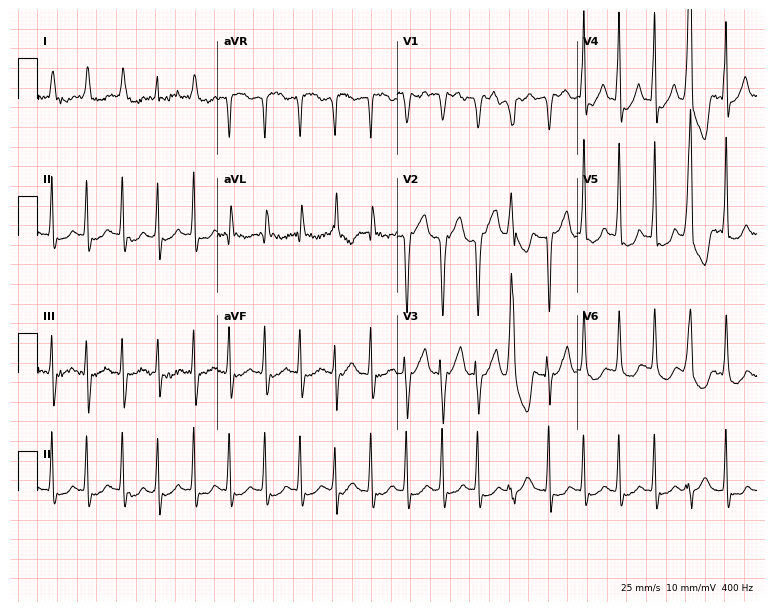
12-lead ECG (7.3-second recording at 400 Hz) from a male, 70 years old. Screened for six findings — first-degree AV block, right bundle branch block, left bundle branch block, sinus bradycardia, atrial fibrillation, sinus tachycardia — none is recorded. Other findings, if any, are not listed.